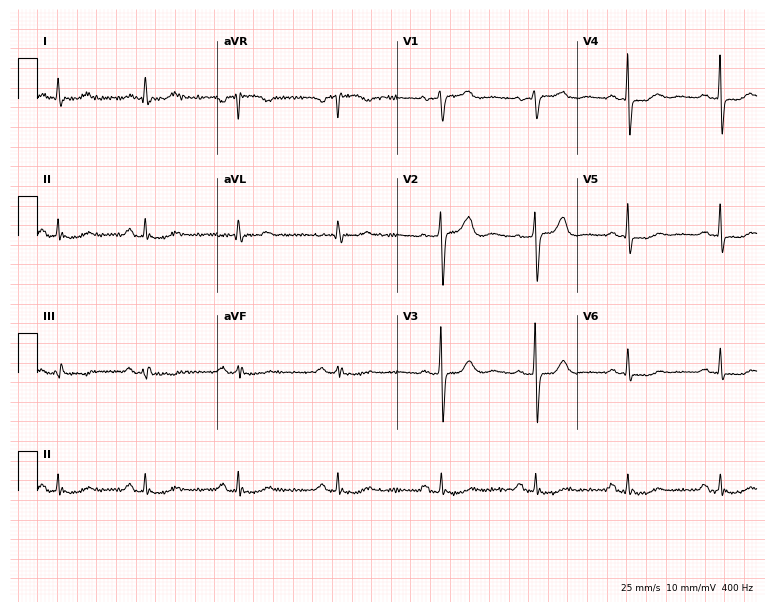
12-lead ECG from a female patient, 57 years old. Labelled as a normal ECG.